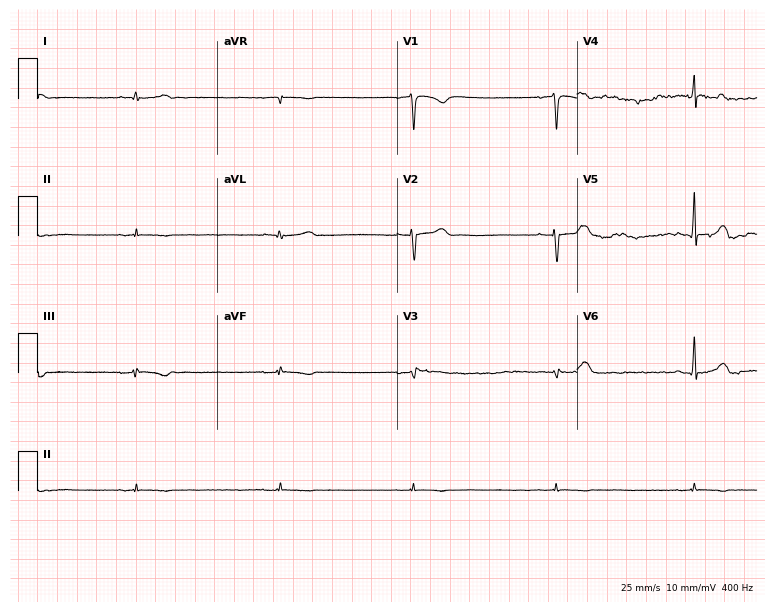
Electrocardiogram, a 23-year-old female. Of the six screened findings (first-degree AV block, right bundle branch block, left bundle branch block, sinus bradycardia, atrial fibrillation, sinus tachycardia), none is recorded. Findings outside these six are not listed.